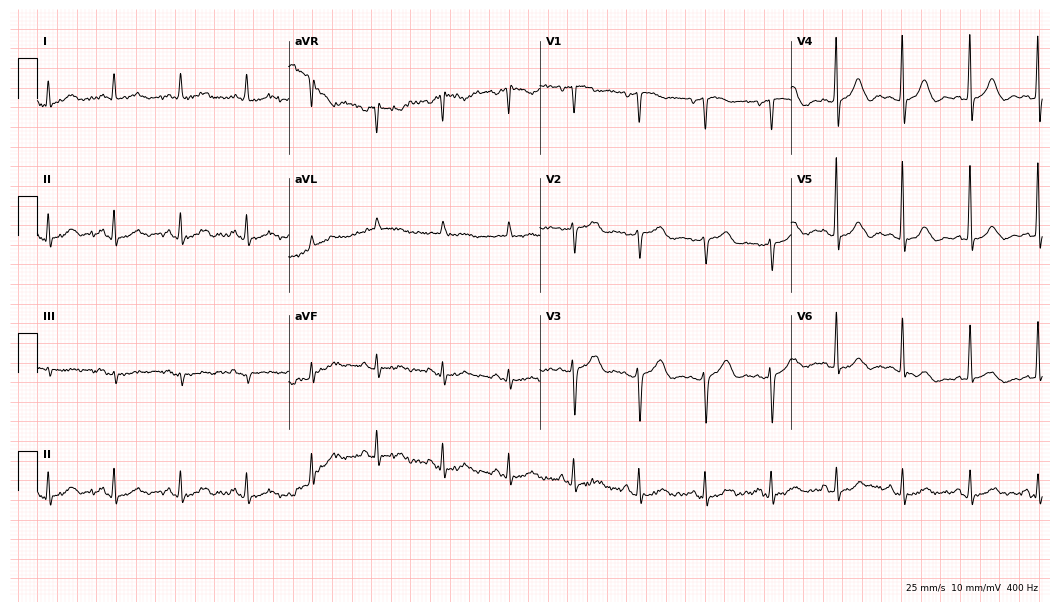
Standard 12-lead ECG recorded from a 78-year-old female patient. Read as a normal ECG.